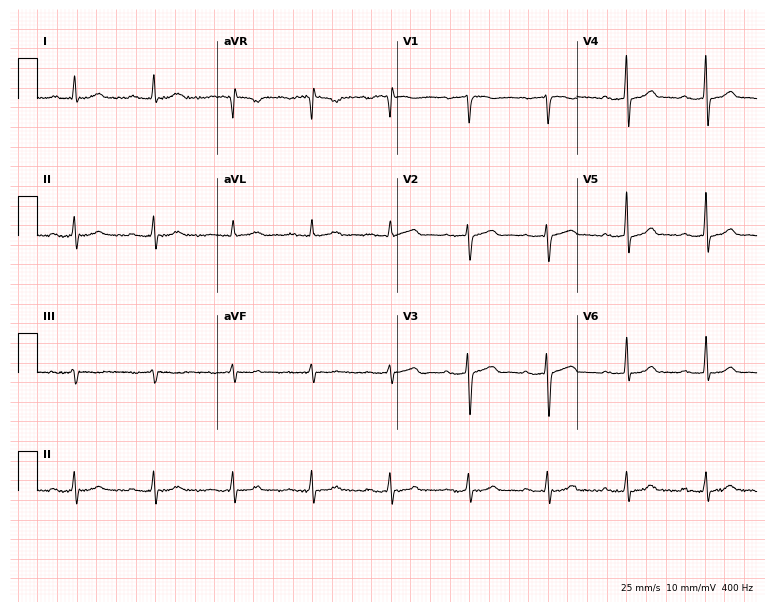
Electrocardiogram (7.3-second recording at 400 Hz), a female, 53 years old. Interpretation includes first-degree AV block.